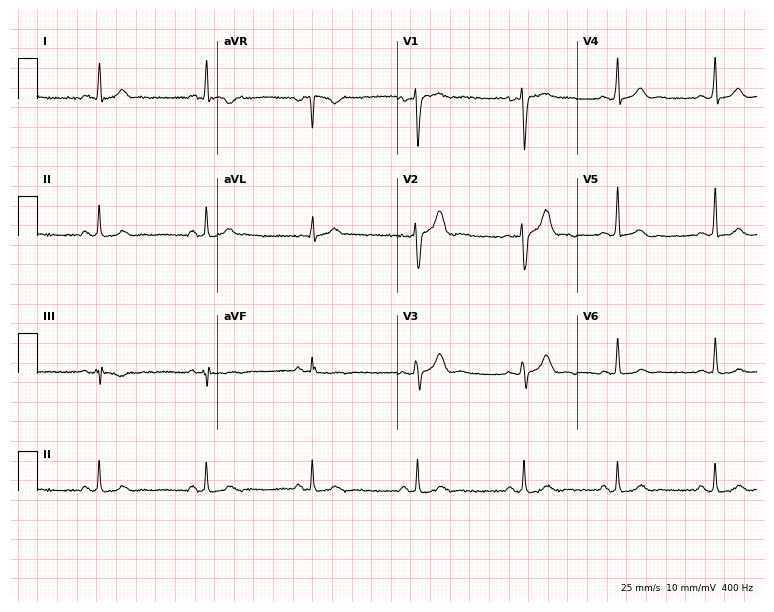
12-lead ECG from a man, 39 years old (7.3-second recording at 400 Hz). Recorded interpretation: within normal limits.